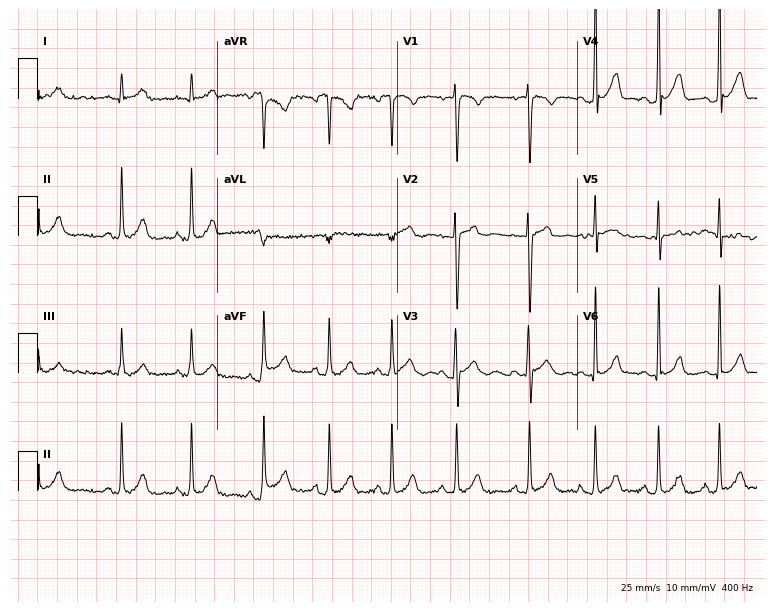
Standard 12-lead ECG recorded from an 18-year-old man (7.3-second recording at 400 Hz). None of these six findings is recorded: first-degree AV block, right bundle branch block, left bundle branch block, sinus bradycardia, atrial fibrillation, sinus tachycardia.